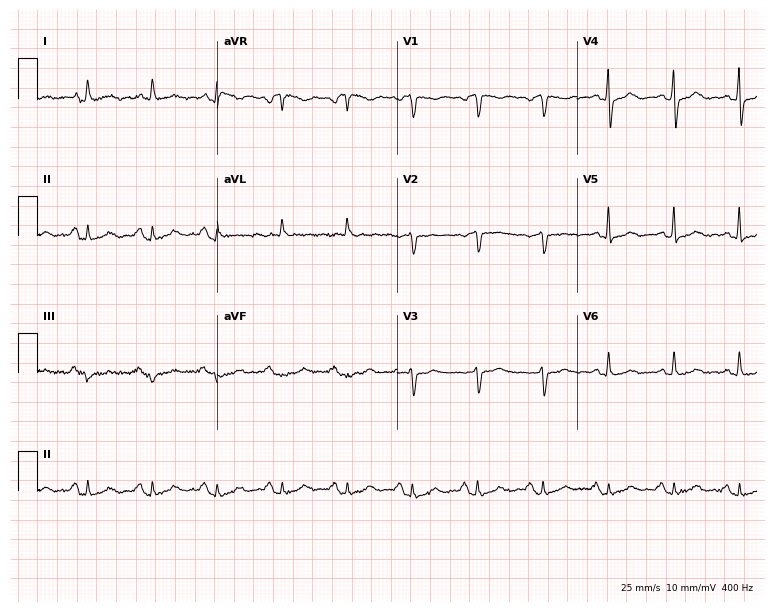
ECG (7.3-second recording at 400 Hz) — a 79-year-old female patient. Screened for six findings — first-degree AV block, right bundle branch block, left bundle branch block, sinus bradycardia, atrial fibrillation, sinus tachycardia — none is recorded. Other findings, if any, are not listed.